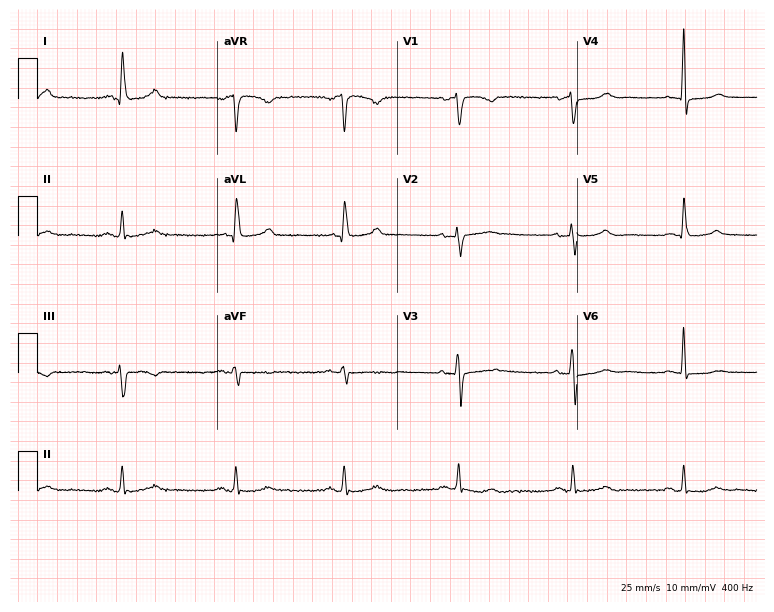
Standard 12-lead ECG recorded from a female, 54 years old. Read as a normal ECG.